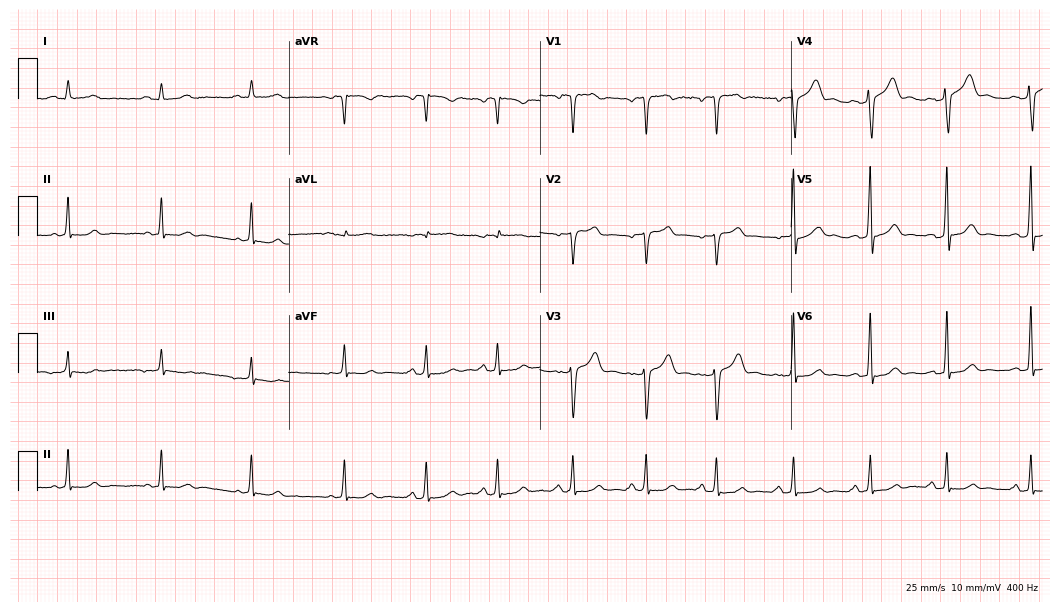
Resting 12-lead electrocardiogram (10.2-second recording at 400 Hz). Patient: a 40-year-old male. Read as a normal ECG.